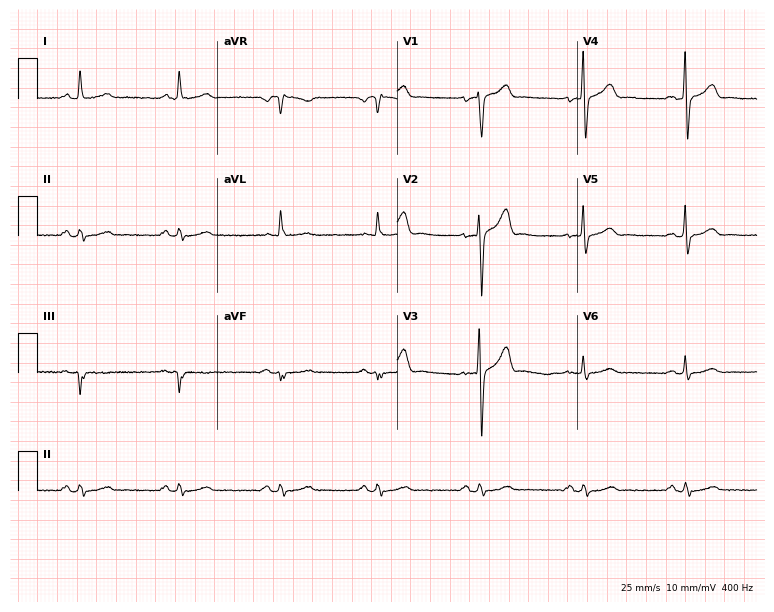
Resting 12-lead electrocardiogram (7.3-second recording at 400 Hz). Patient: a 35-year-old male. None of these six findings is recorded: first-degree AV block, right bundle branch block, left bundle branch block, sinus bradycardia, atrial fibrillation, sinus tachycardia. Only these six findings were labelled.